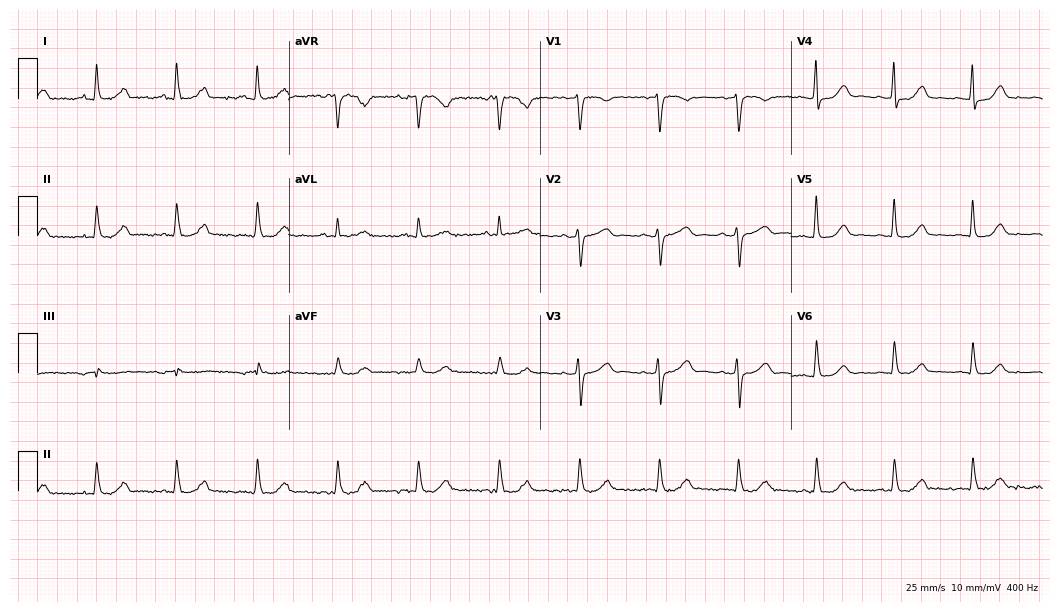
Standard 12-lead ECG recorded from a 60-year-old woman. None of these six findings is recorded: first-degree AV block, right bundle branch block, left bundle branch block, sinus bradycardia, atrial fibrillation, sinus tachycardia. Findings outside these six are not listed.